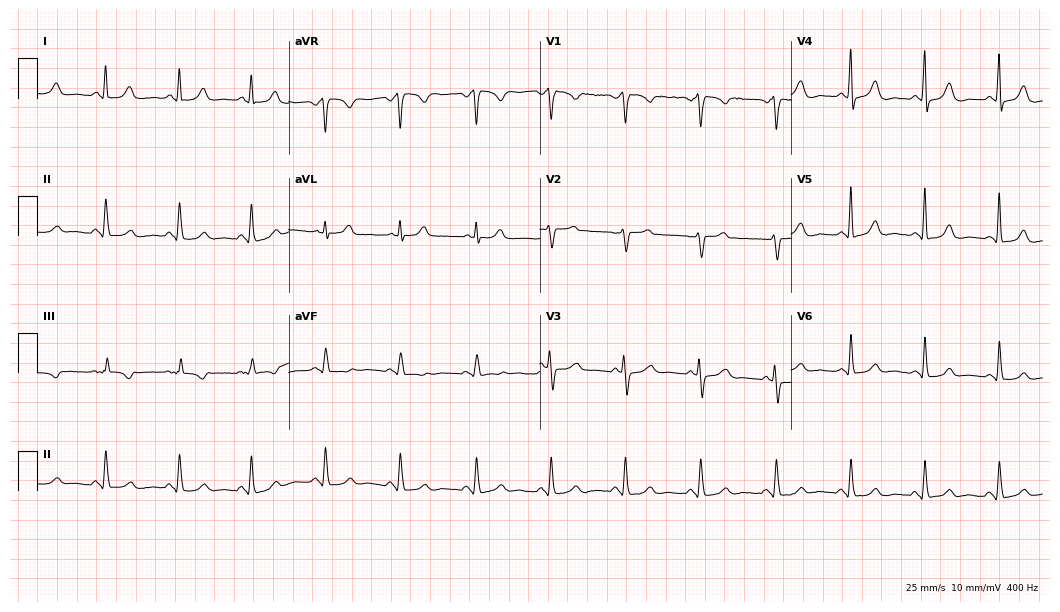
12-lead ECG (10.2-second recording at 400 Hz) from a female, 49 years old. Labelled as a normal ECG.